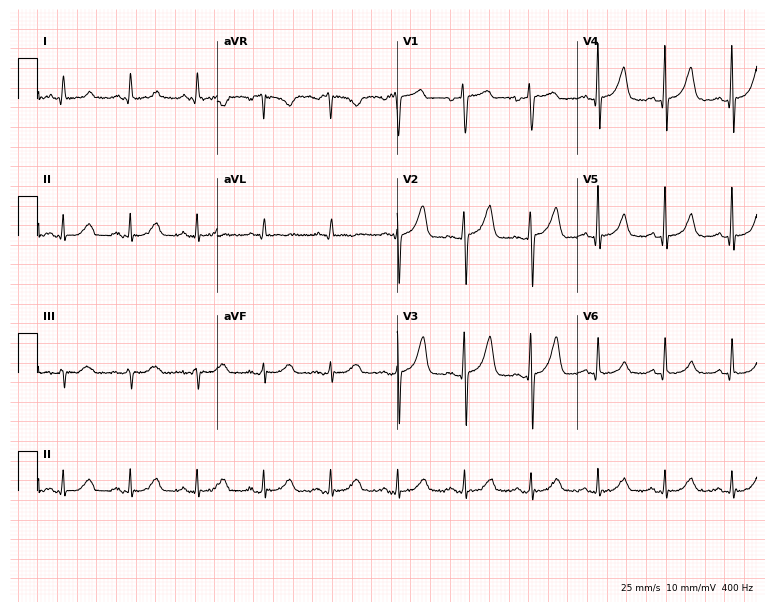
12-lead ECG from a 66-year-old woman (7.3-second recording at 400 Hz). No first-degree AV block, right bundle branch block, left bundle branch block, sinus bradycardia, atrial fibrillation or sinus tachycardia recorded for this tracing.